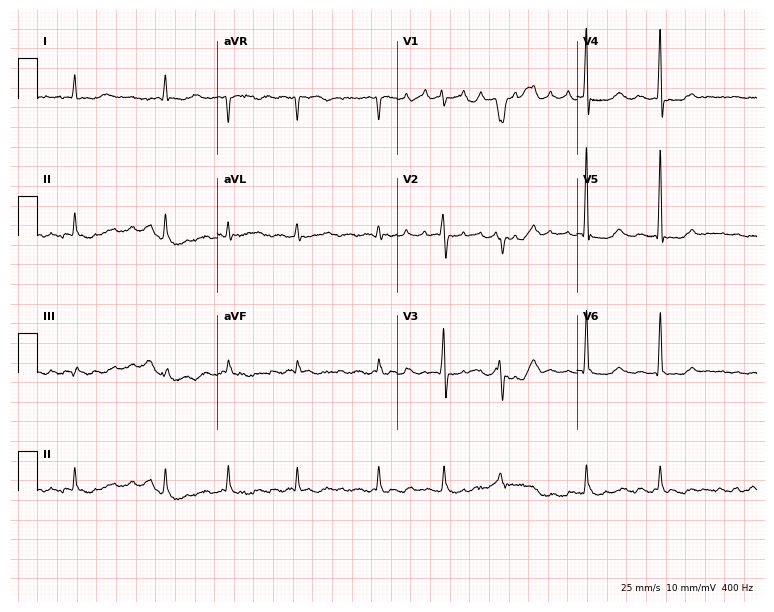
Electrocardiogram (7.3-second recording at 400 Hz), a female patient, 66 years old. Interpretation includes atrial fibrillation.